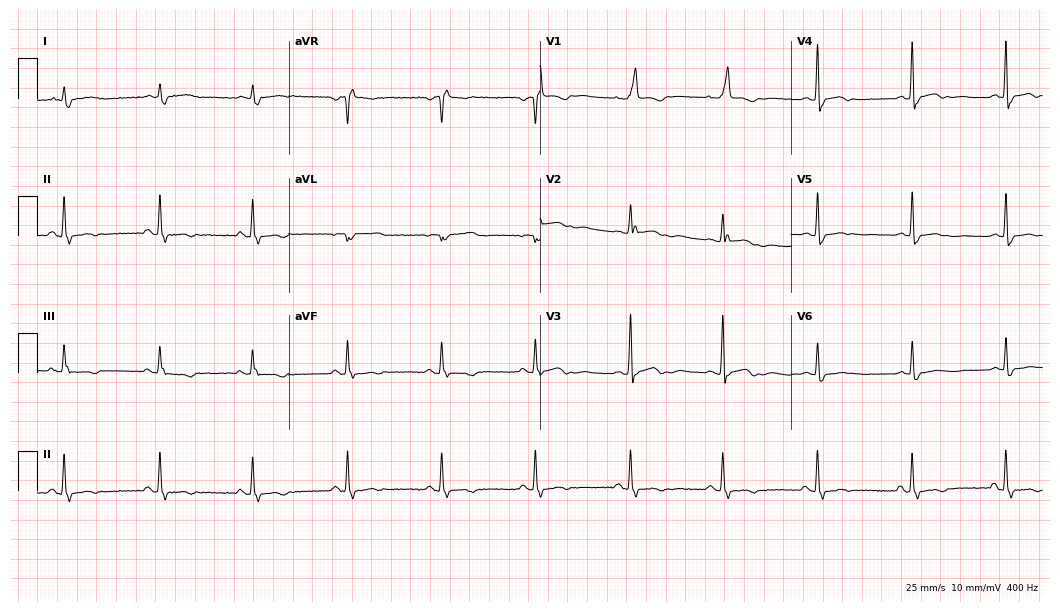
ECG (10.2-second recording at 400 Hz) — a 78-year-old male patient. Screened for six findings — first-degree AV block, right bundle branch block, left bundle branch block, sinus bradycardia, atrial fibrillation, sinus tachycardia — none is recorded. Findings outside these six are not listed.